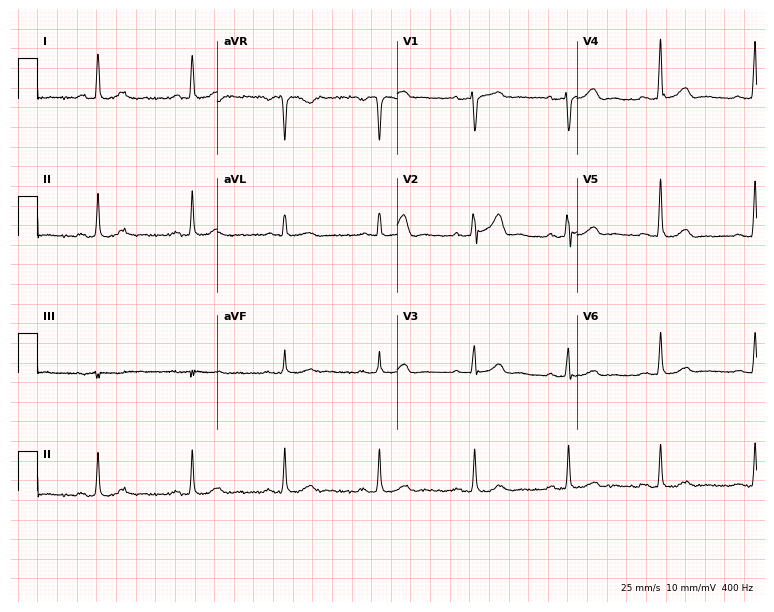
12-lead ECG from a 55-year-old male patient. Screened for six findings — first-degree AV block, right bundle branch block (RBBB), left bundle branch block (LBBB), sinus bradycardia, atrial fibrillation (AF), sinus tachycardia — none is recorded.